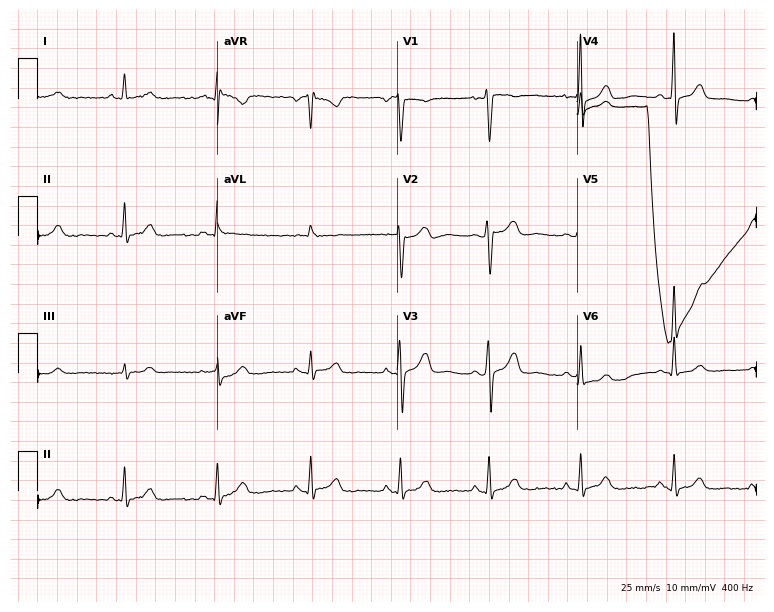
Electrocardiogram (7.3-second recording at 400 Hz), a 48-year-old female patient. Of the six screened findings (first-degree AV block, right bundle branch block, left bundle branch block, sinus bradycardia, atrial fibrillation, sinus tachycardia), none is recorded. Other findings, if any, are not listed.